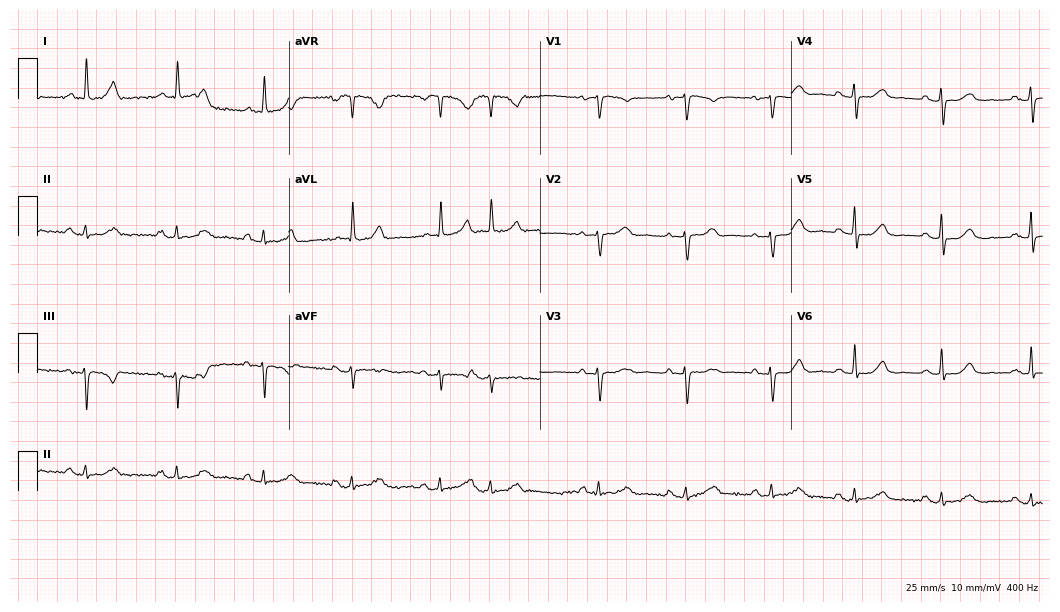
Electrocardiogram, a 73-year-old female. Of the six screened findings (first-degree AV block, right bundle branch block (RBBB), left bundle branch block (LBBB), sinus bradycardia, atrial fibrillation (AF), sinus tachycardia), none is recorded.